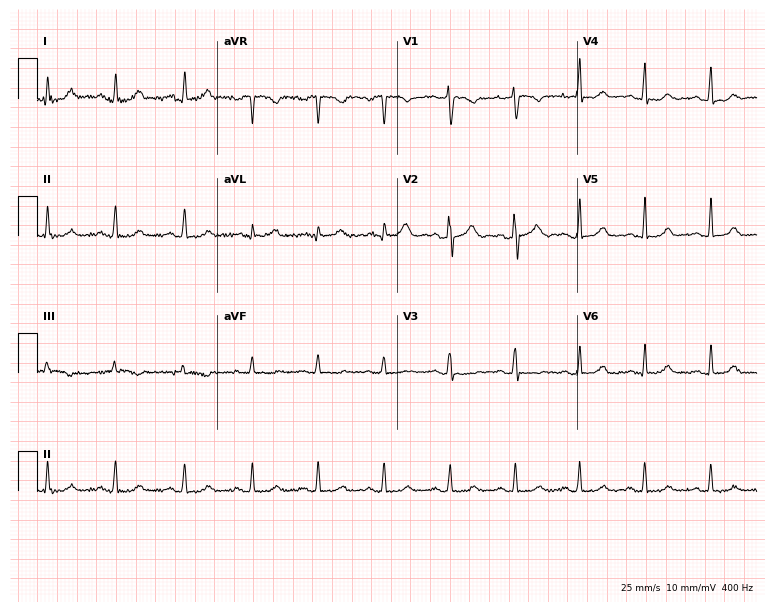
Resting 12-lead electrocardiogram (7.3-second recording at 400 Hz). Patient: a female, 23 years old. None of these six findings is recorded: first-degree AV block, right bundle branch block, left bundle branch block, sinus bradycardia, atrial fibrillation, sinus tachycardia.